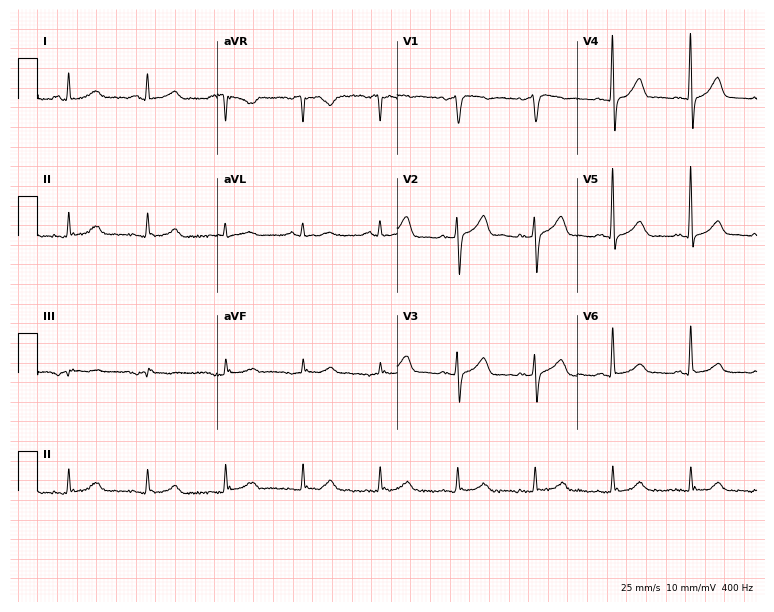
ECG — a 52-year-old male. Labelled as a normal ECG.